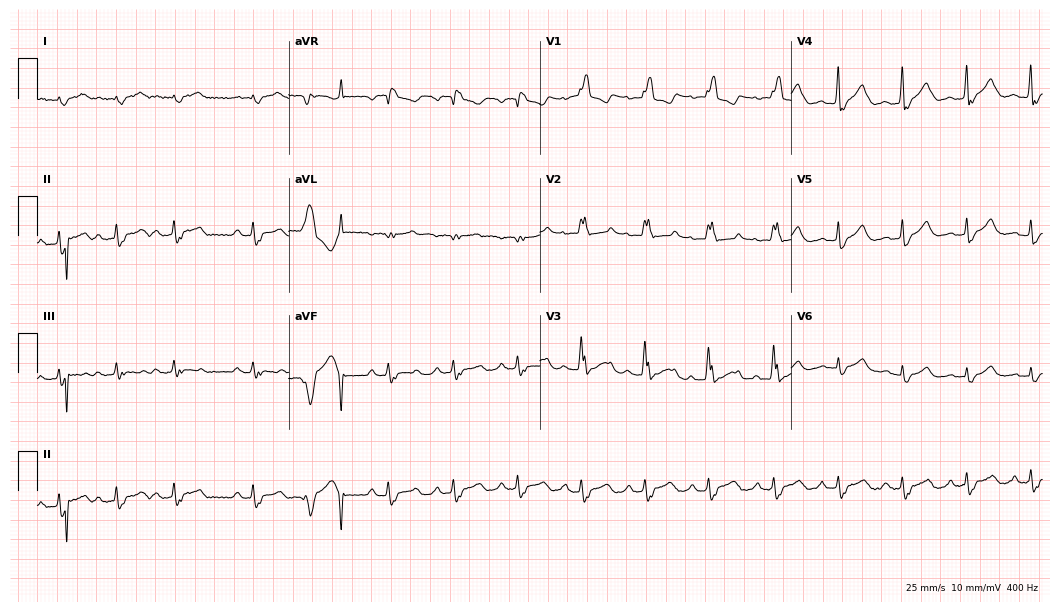
Resting 12-lead electrocardiogram. Patient: a male, 60 years old. The tracing shows right bundle branch block.